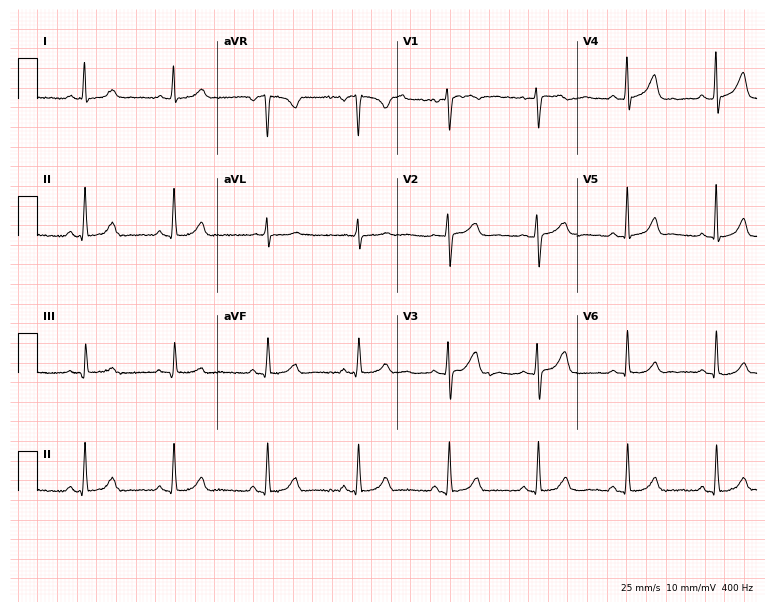
Resting 12-lead electrocardiogram (7.3-second recording at 400 Hz). Patient: a female, 38 years old. Read as a normal ECG.